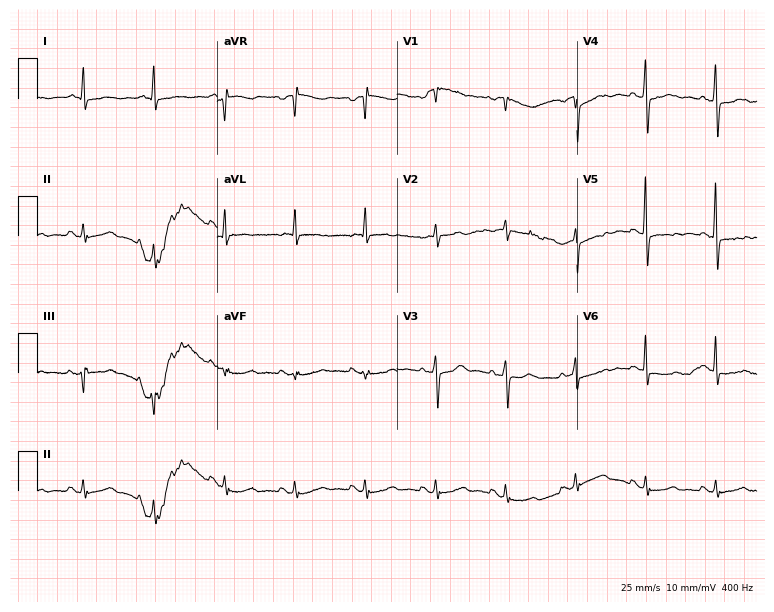
ECG — a female patient, 59 years old. Screened for six findings — first-degree AV block, right bundle branch block, left bundle branch block, sinus bradycardia, atrial fibrillation, sinus tachycardia — none is recorded.